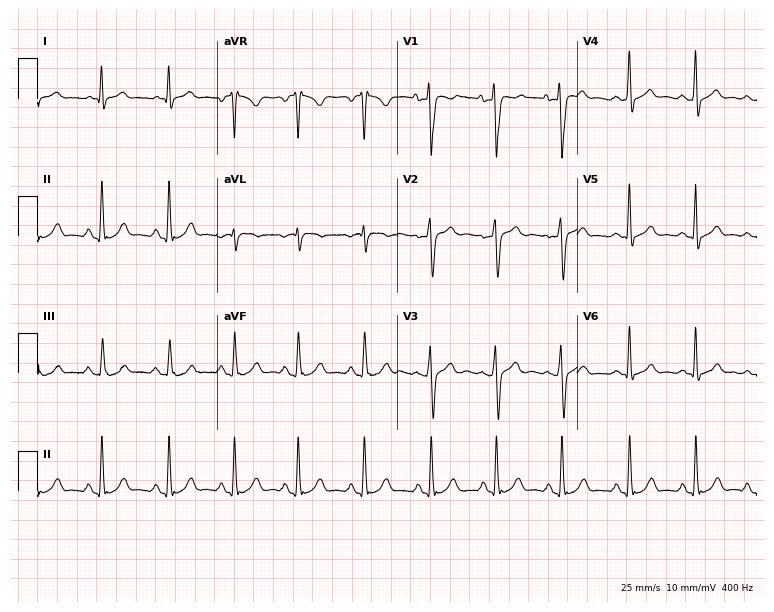
Standard 12-lead ECG recorded from a man, 20 years old (7.3-second recording at 400 Hz). None of these six findings is recorded: first-degree AV block, right bundle branch block (RBBB), left bundle branch block (LBBB), sinus bradycardia, atrial fibrillation (AF), sinus tachycardia. Findings outside these six are not listed.